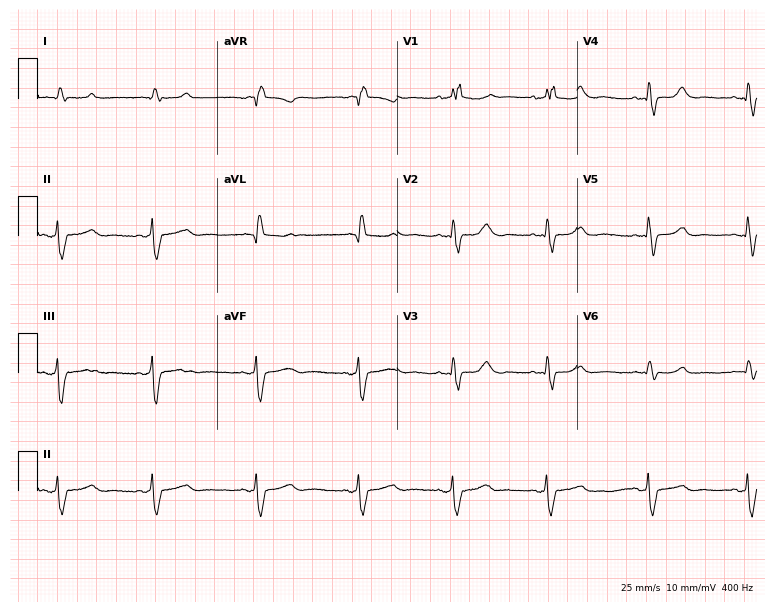
ECG — a male patient, 79 years old. Findings include right bundle branch block.